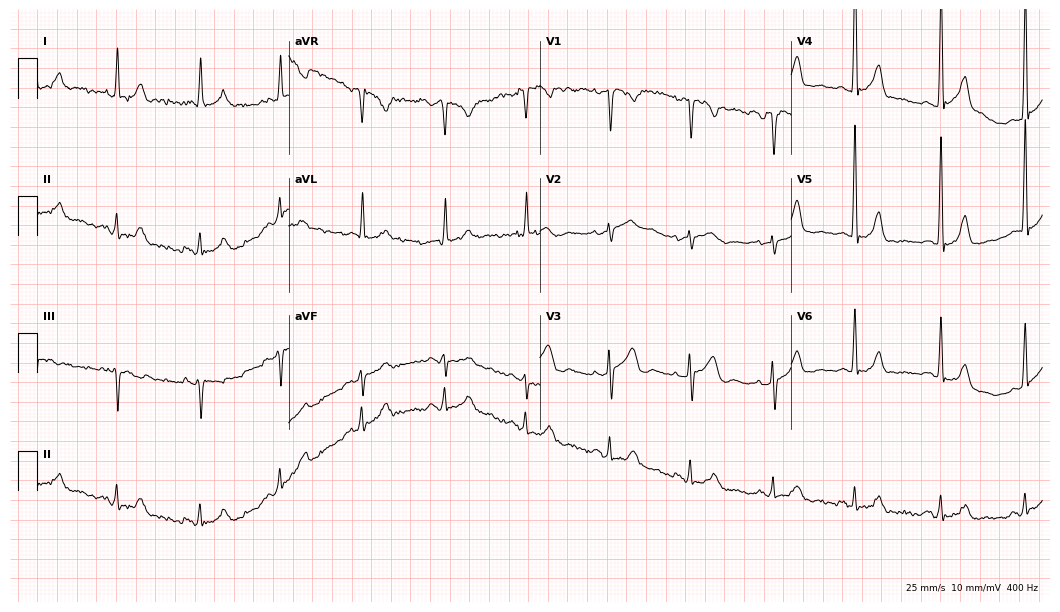
Resting 12-lead electrocardiogram (10.2-second recording at 400 Hz). Patient: a 51-year-old male. Read as a normal ECG.